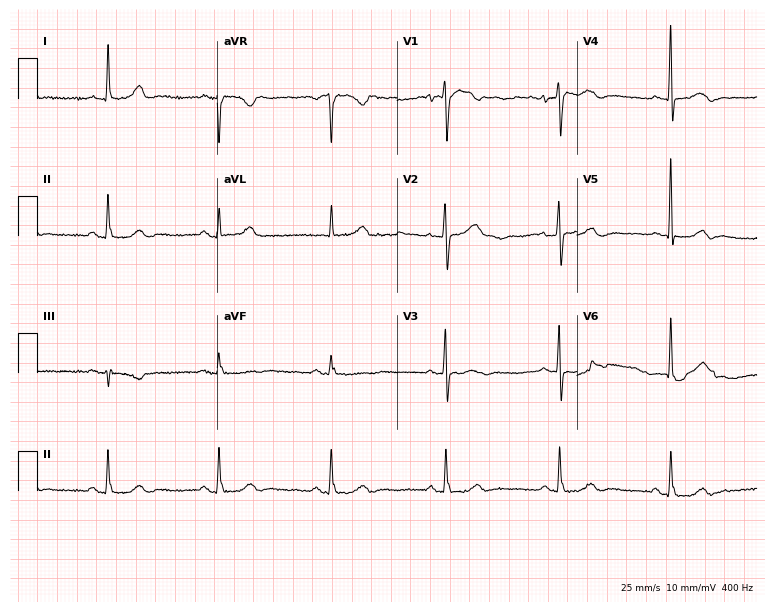
ECG (7.3-second recording at 400 Hz) — a 77-year-old woman. Labelled as a normal ECG.